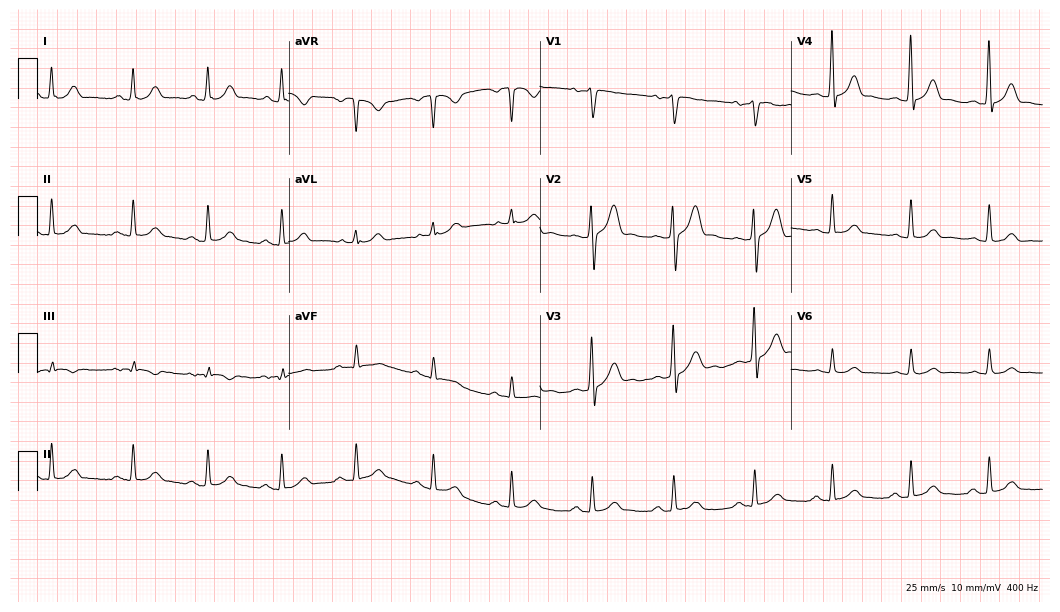
Standard 12-lead ECG recorded from a 36-year-old man. Read as a normal ECG.